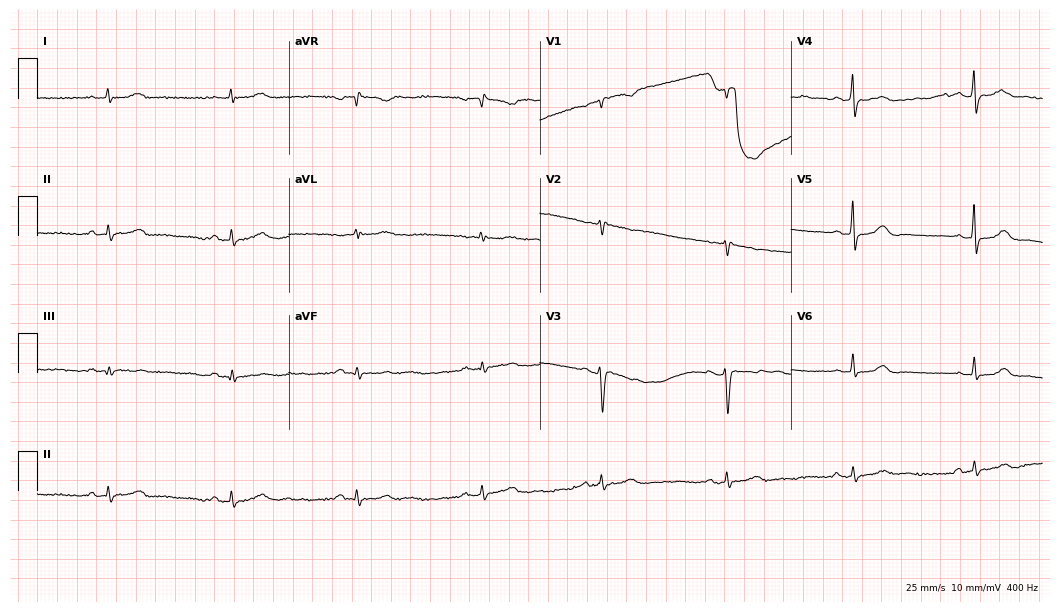
12-lead ECG (10.2-second recording at 400 Hz) from a 46-year-old female patient. Findings include sinus bradycardia (a sinus rate of 50 beats per minute or less).